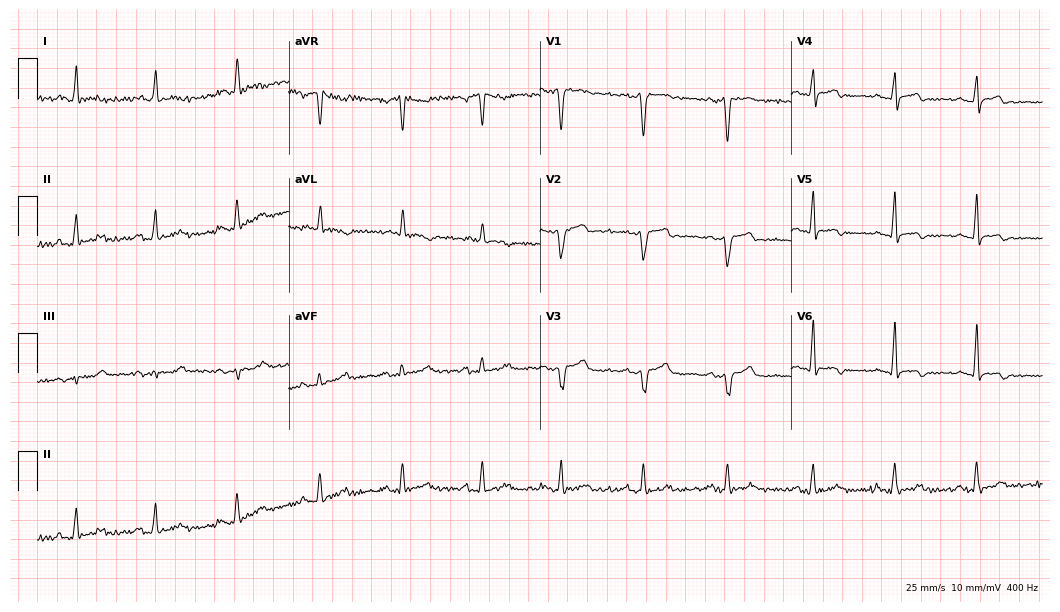
ECG — a 49-year-old woman. Screened for six findings — first-degree AV block, right bundle branch block, left bundle branch block, sinus bradycardia, atrial fibrillation, sinus tachycardia — none is recorded. Other findings, if any, are not listed.